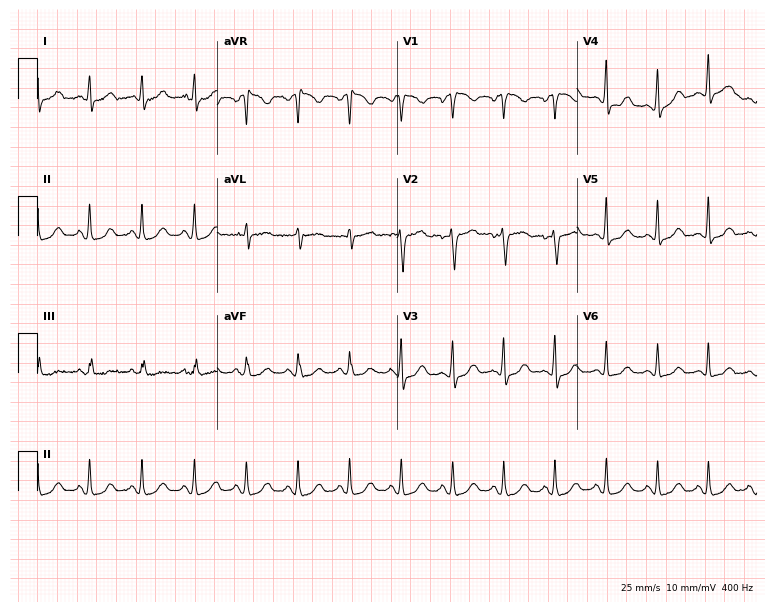
ECG (7.3-second recording at 400 Hz) — a 55-year-old female patient. Findings include sinus tachycardia (a sinus rate of 100 beats per minute or more).